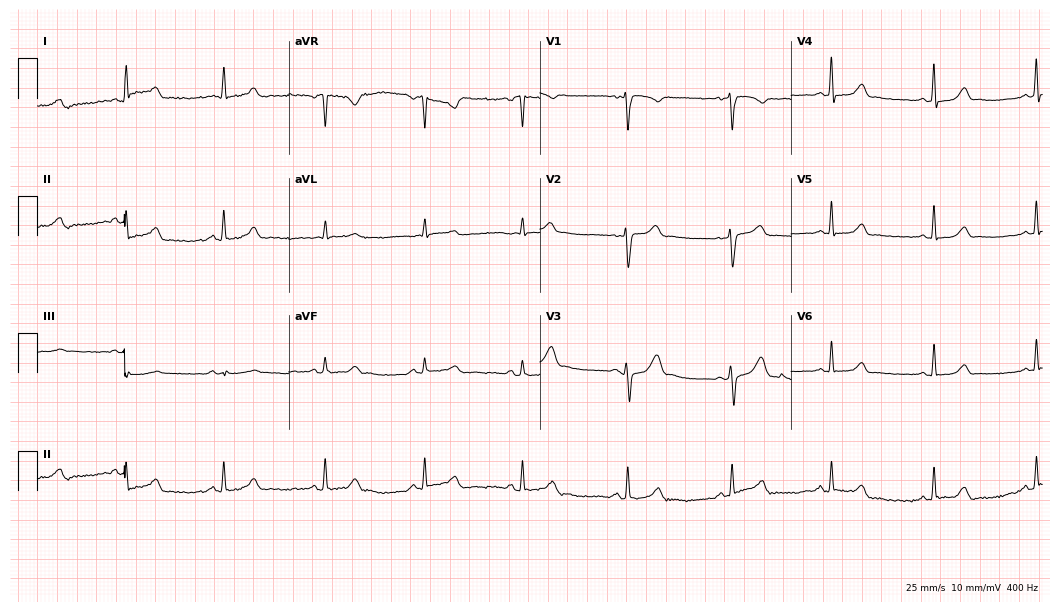
ECG (10.2-second recording at 400 Hz) — a woman, 43 years old. Screened for six findings — first-degree AV block, right bundle branch block (RBBB), left bundle branch block (LBBB), sinus bradycardia, atrial fibrillation (AF), sinus tachycardia — none is recorded. Other findings, if any, are not listed.